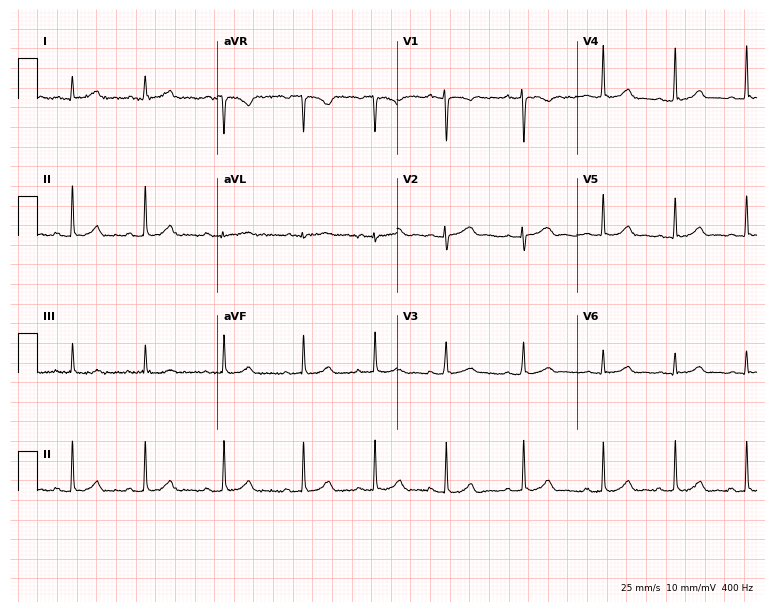
12-lead ECG from a 17-year-old female patient. Recorded interpretation: within normal limits.